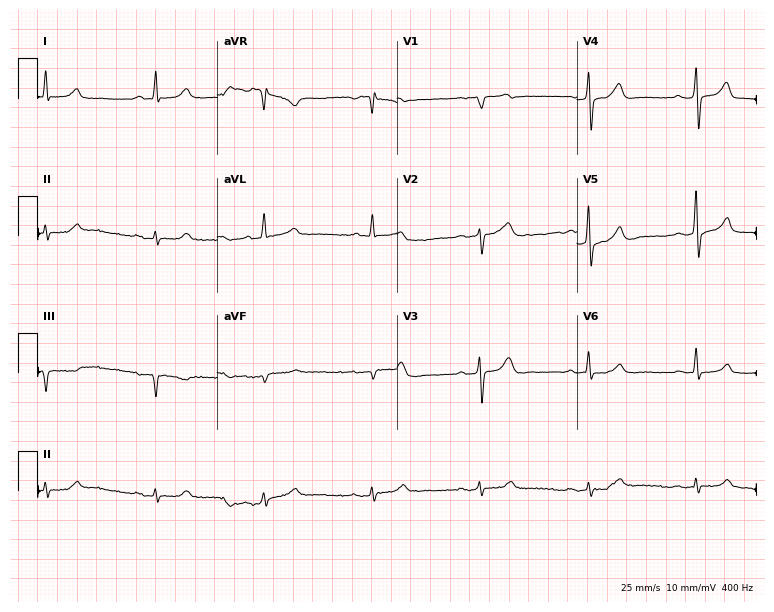
Standard 12-lead ECG recorded from a male patient, 75 years old (7.3-second recording at 400 Hz). None of these six findings is recorded: first-degree AV block, right bundle branch block (RBBB), left bundle branch block (LBBB), sinus bradycardia, atrial fibrillation (AF), sinus tachycardia. Findings outside these six are not listed.